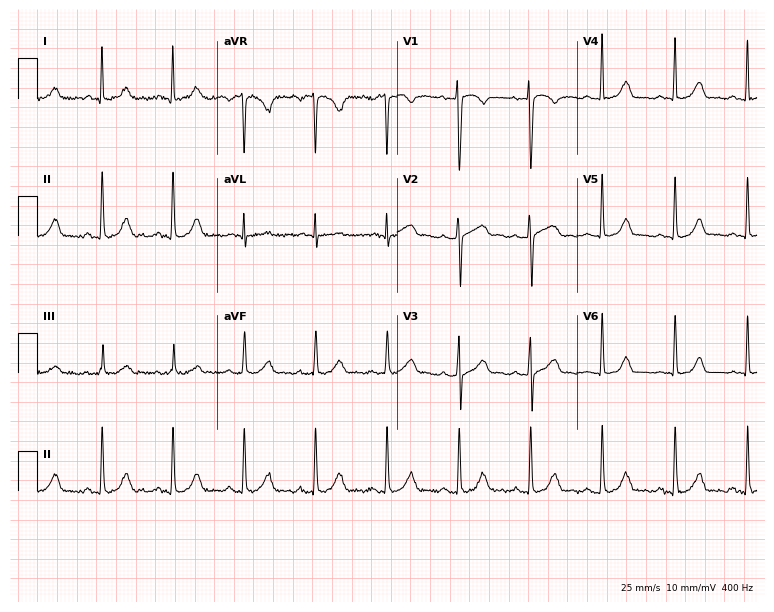
Resting 12-lead electrocardiogram (7.3-second recording at 400 Hz). Patient: a 35-year-old female. Read as a normal ECG.